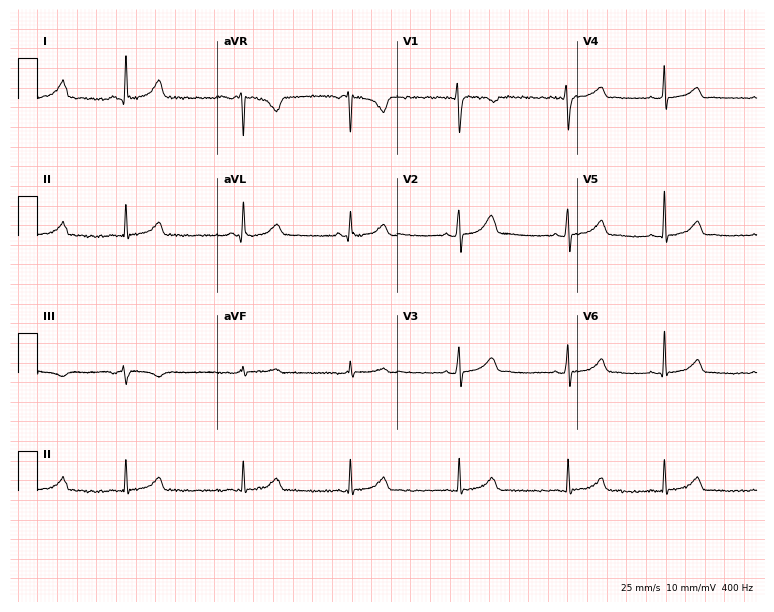
Standard 12-lead ECG recorded from a 25-year-old woman. Read as a normal ECG.